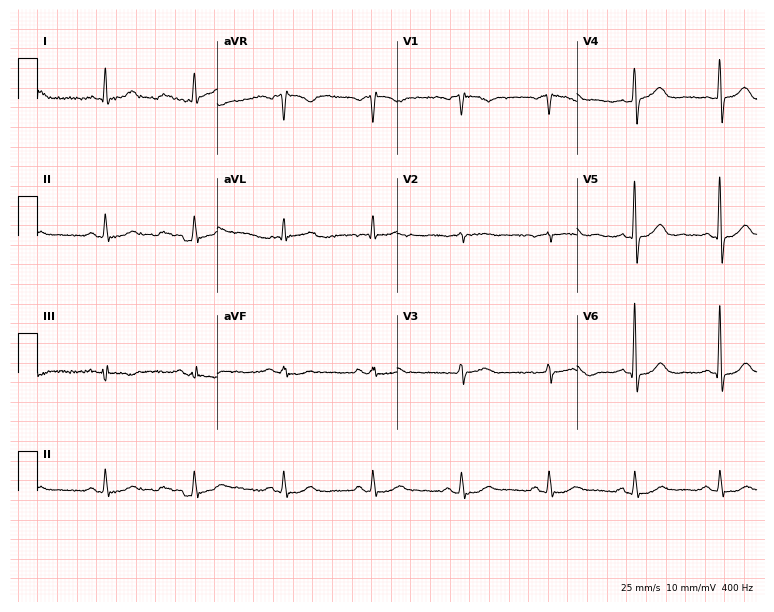
12-lead ECG from a woman, 68 years old. Labelled as a normal ECG.